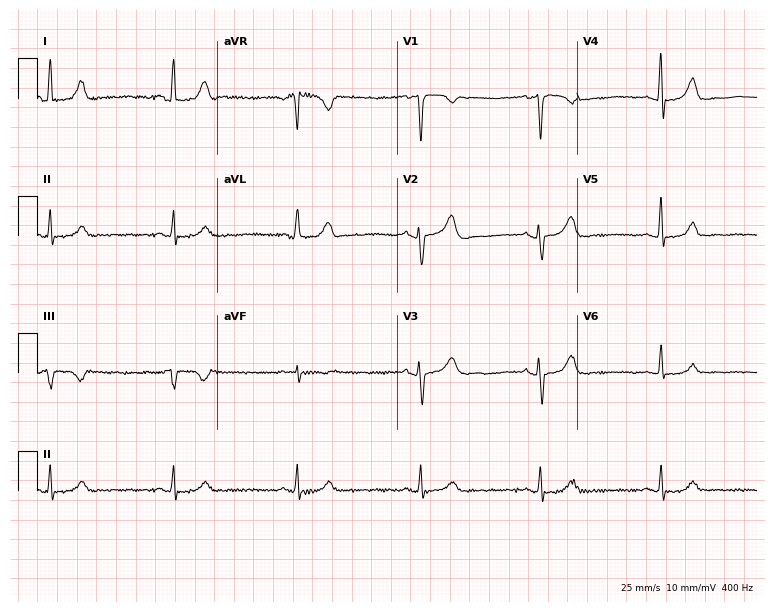
ECG (7.3-second recording at 400 Hz) — a female, 56 years old. Labelled as a normal ECG.